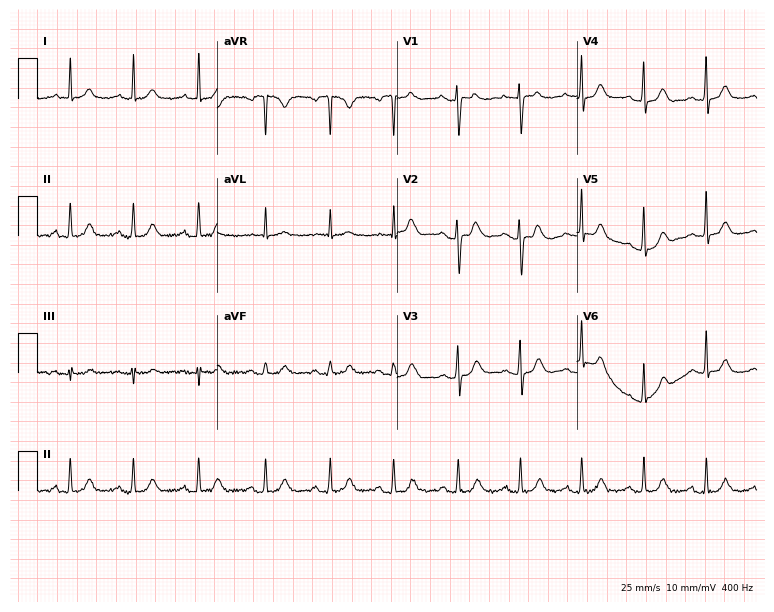
Standard 12-lead ECG recorded from a 40-year-old female patient. Read as a normal ECG.